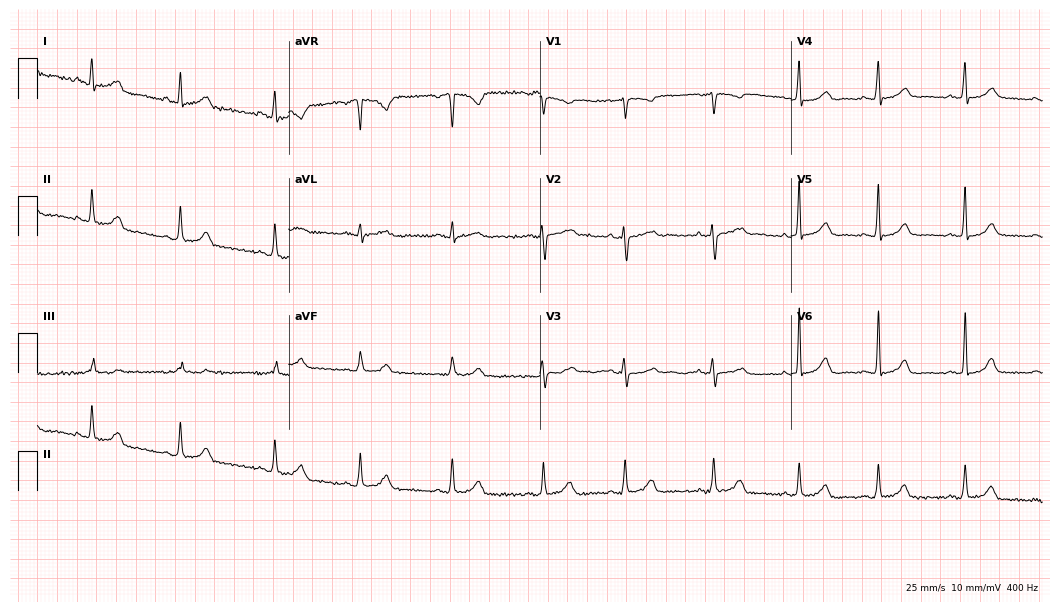
12-lead ECG (10.2-second recording at 400 Hz) from a 28-year-old male. Labelled as a normal ECG.